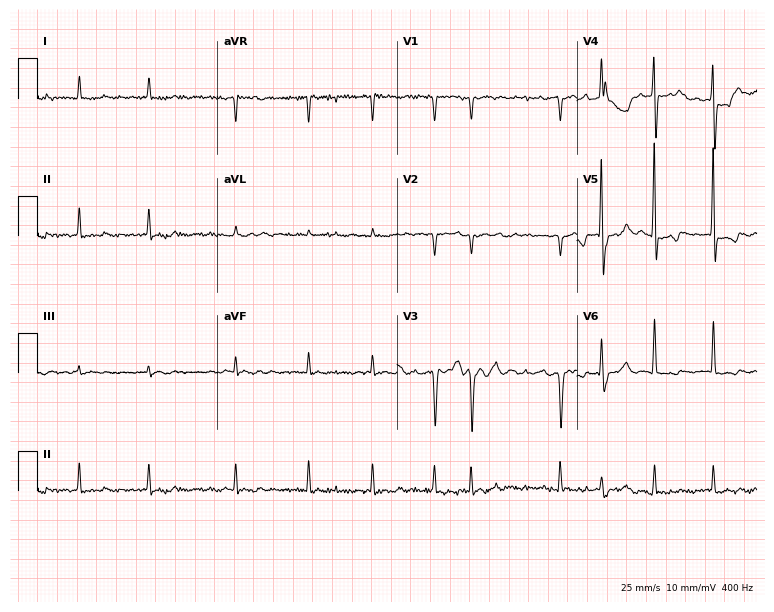
Resting 12-lead electrocardiogram. Patient: a 65-year-old male. The tracing shows atrial fibrillation.